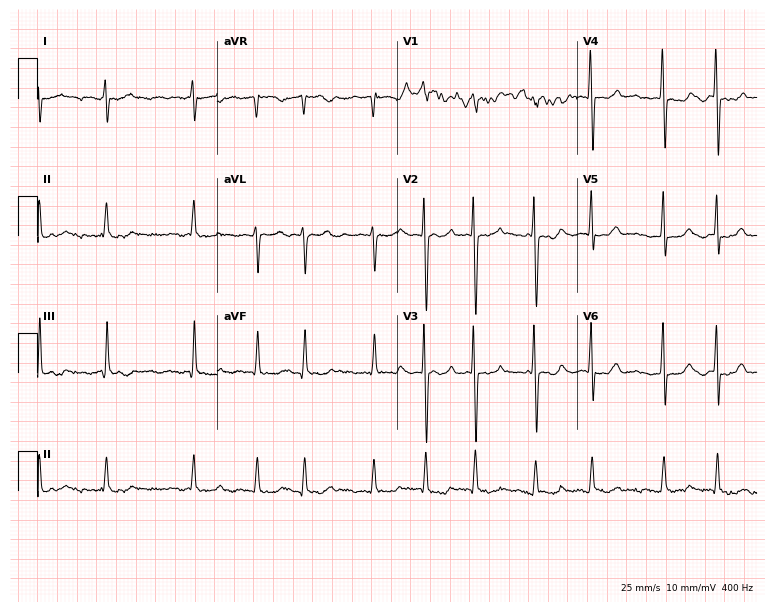
12-lead ECG (7.3-second recording at 400 Hz) from a female patient, 39 years old. Findings include atrial fibrillation.